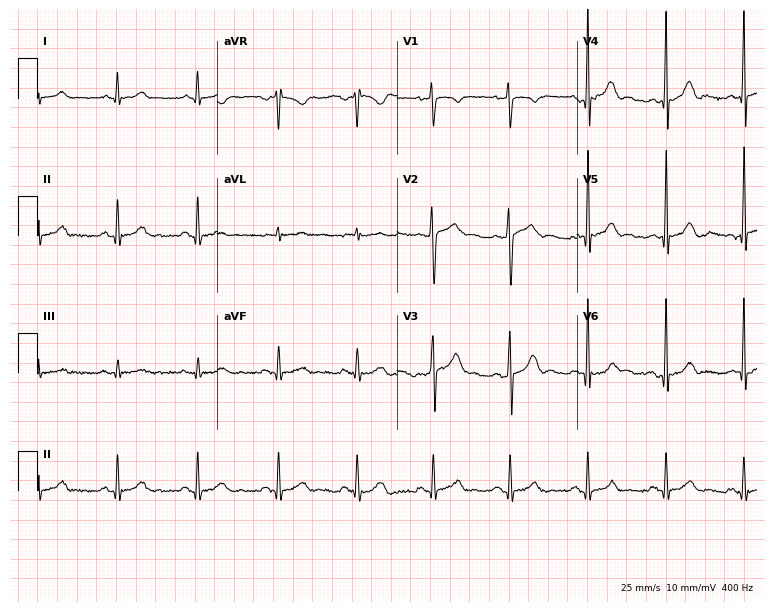
Electrocardiogram, a 32-year-old man. Of the six screened findings (first-degree AV block, right bundle branch block, left bundle branch block, sinus bradycardia, atrial fibrillation, sinus tachycardia), none is recorded.